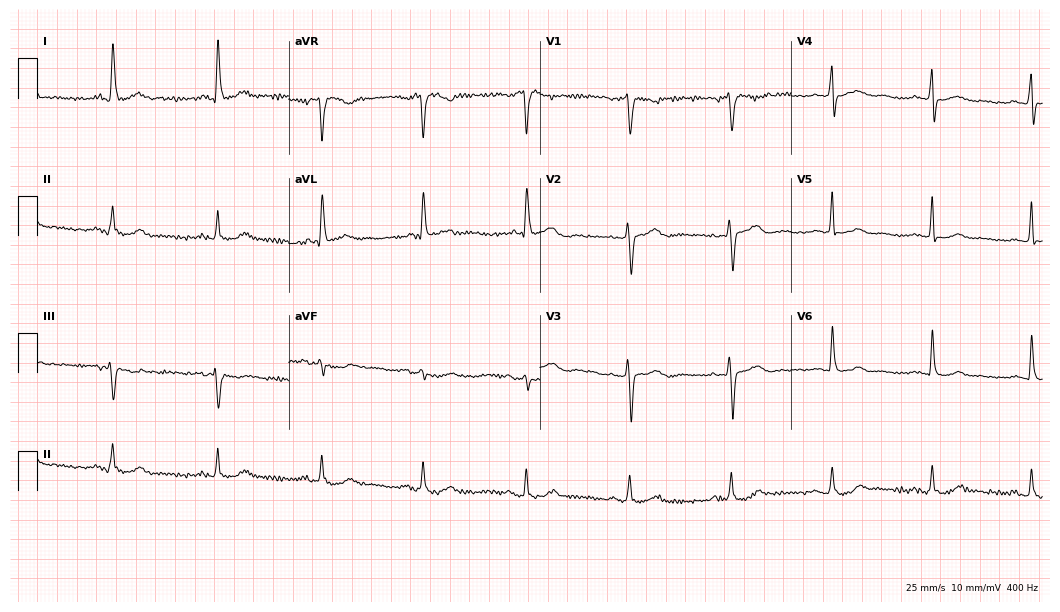
ECG — a 69-year-old woman. Screened for six findings — first-degree AV block, right bundle branch block (RBBB), left bundle branch block (LBBB), sinus bradycardia, atrial fibrillation (AF), sinus tachycardia — none is recorded.